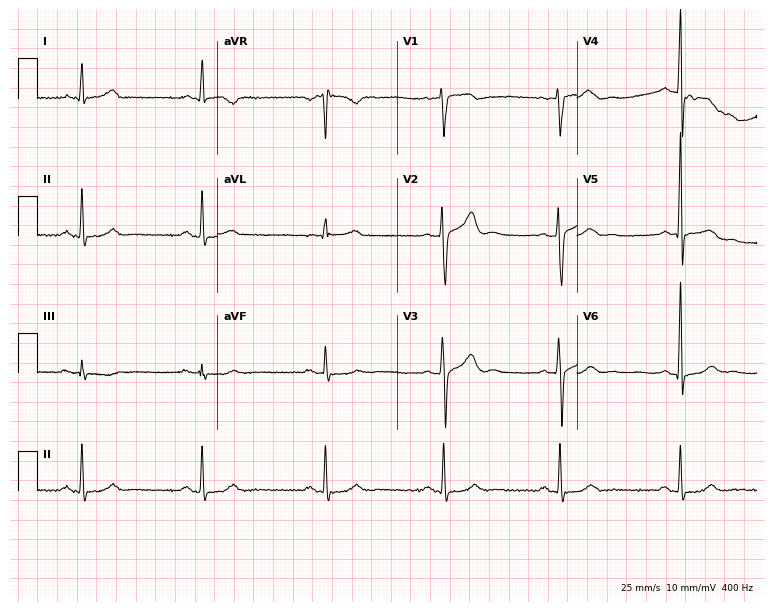
Resting 12-lead electrocardiogram (7.3-second recording at 400 Hz). Patient: a 54-year-old man. None of these six findings is recorded: first-degree AV block, right bundle branch block, left bundle branch block, sinus bradycardia, atrial fibrillation, sinus tachycardia. Other findings, if any, are not listed.